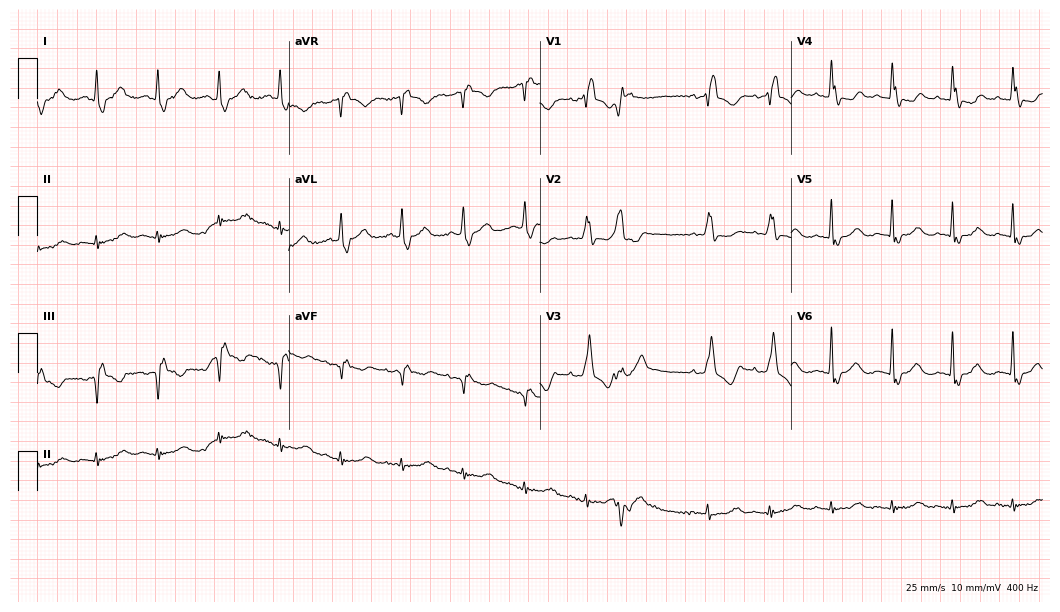
Electrocardiogram, a 75-year-old female patient. Of the six screened findings (first-degree AV block, right bundle branch block (RBBB), left bundle branch block (LBBB), sinus bradycardia, atrial fibrillation (AF), sinus tachycardia), none is recorded. Only these six findings were labelled.